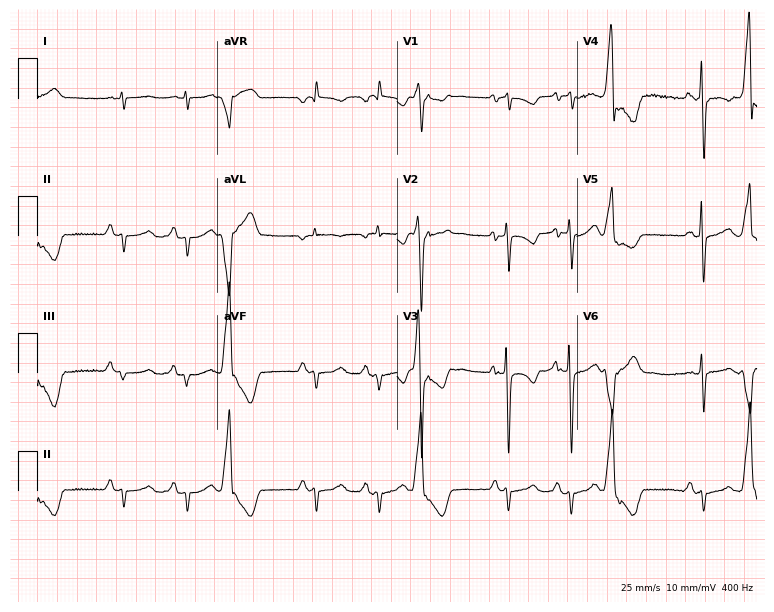
Electrocardiogram (7.3-second recording at 400 Hz), a man, 70 years old. Of the six screened findings (first-degree AV block, right bundle branch block, left bundle branch block, sinus bradycardia, atrial fibrillation, sinus tachycardia), none is recorded.